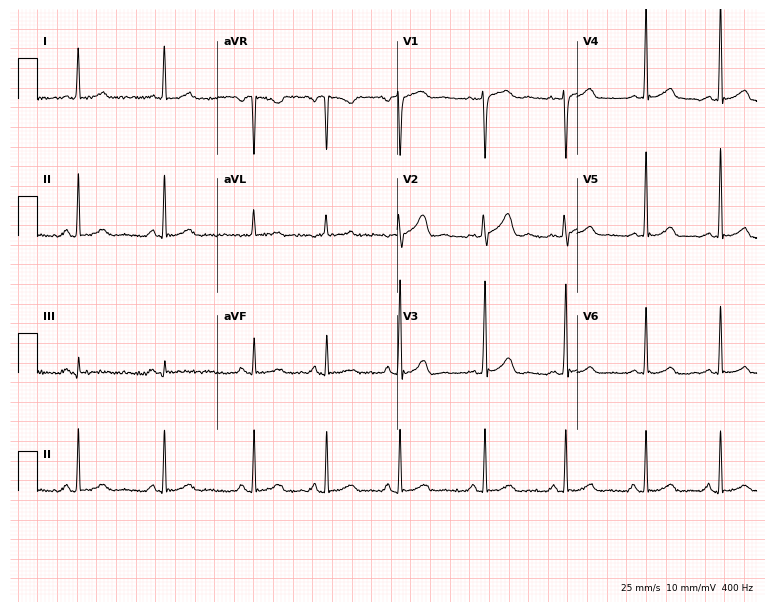
Electrocardiogram, a 28-year-old woman. Overall reading on record: normal ECG.